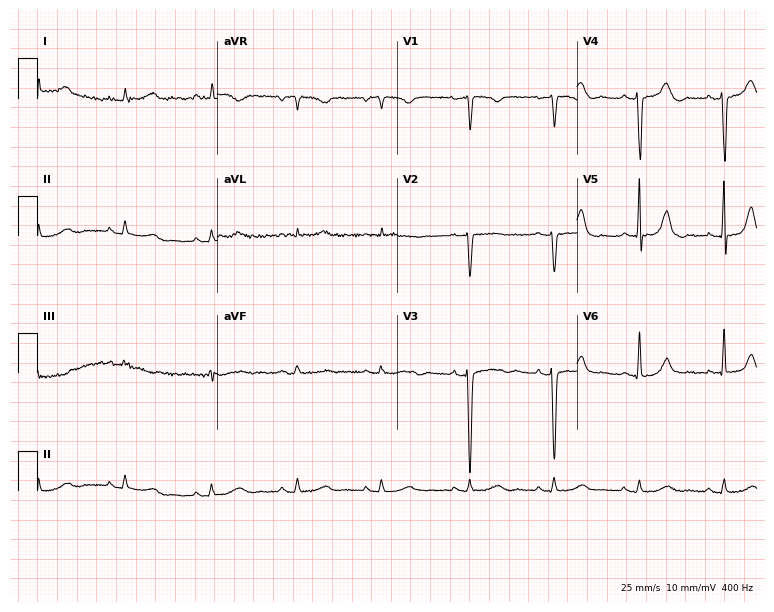
Electrocardiogram (7.3-second recording at 400 Hz), a female patient, 35 years old. Of the six screened findings (first-degree AV block, right bundle branch block (RBBB), left bundle branch block (LBBB), sinus bradycardia, atrial fibrillation (AF), sinus tachycardia), none is recorded.